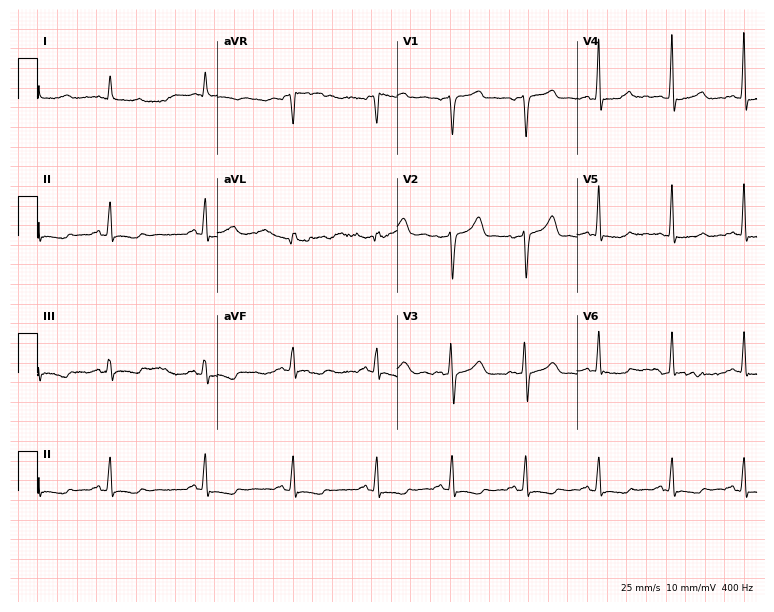
Resting 12-lead electrocardiogram (7.3-second recording at 400 Hz). Patient: a 53-year-old male. None of these six findings is recorded: first-degree AV block, right bundle branch block, left bundle branch block, sinus bradycardia, atrial fibrillation, sinus tachycardia.